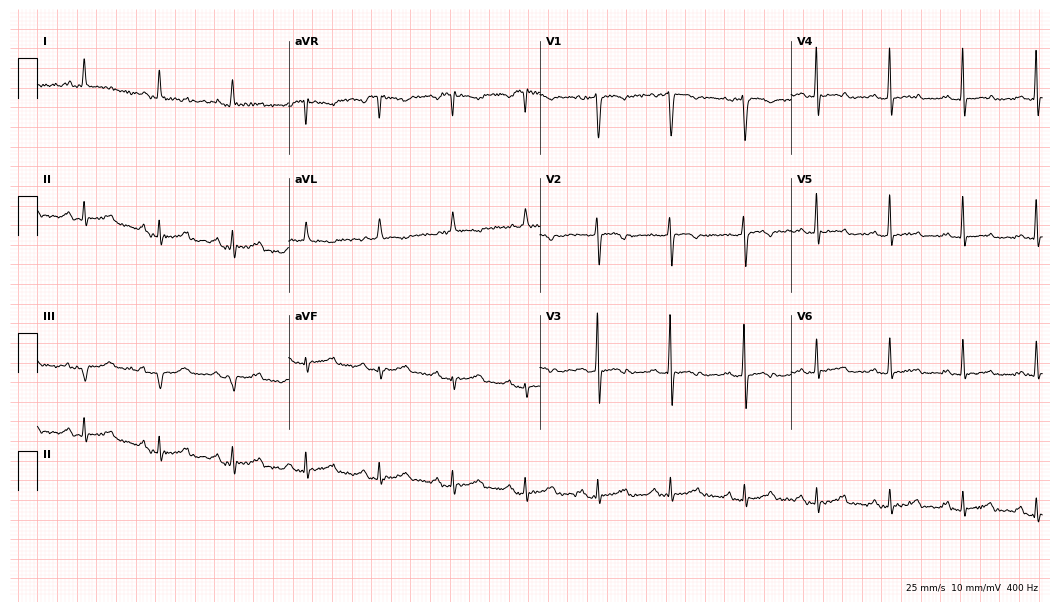
ECG (10.2-second recording at 400 Hz) — a 78-year-old woman. Screened for six findings — first-degree AV block, right bundle branch block (RBBB), left bundle branch block (LBBB), sinus bradycardia, atrial fibrillation (AF), sinus tachycardia — none is recorded. Findings outside these six are not listed.